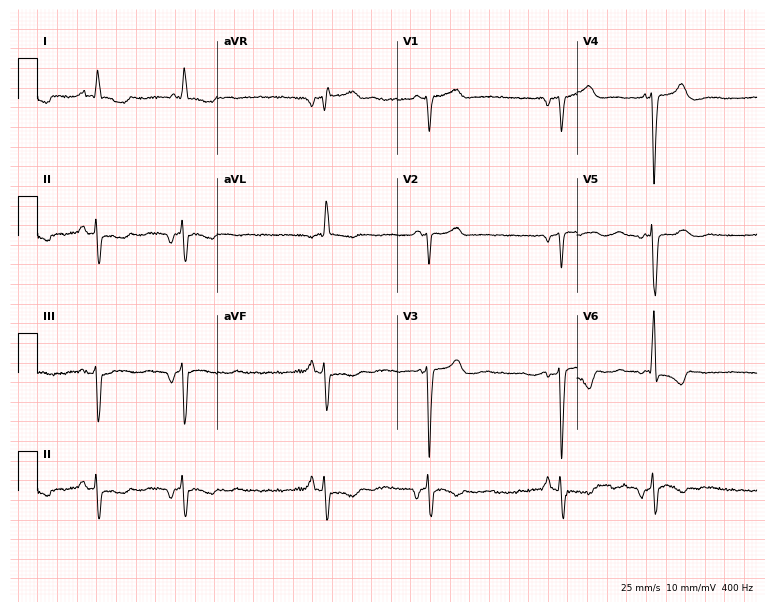
Standard 12-lead ECG recorded from a man, 70 years old (7.3-second recording at 400 Hz). The tracing shows atrial fibrillation.